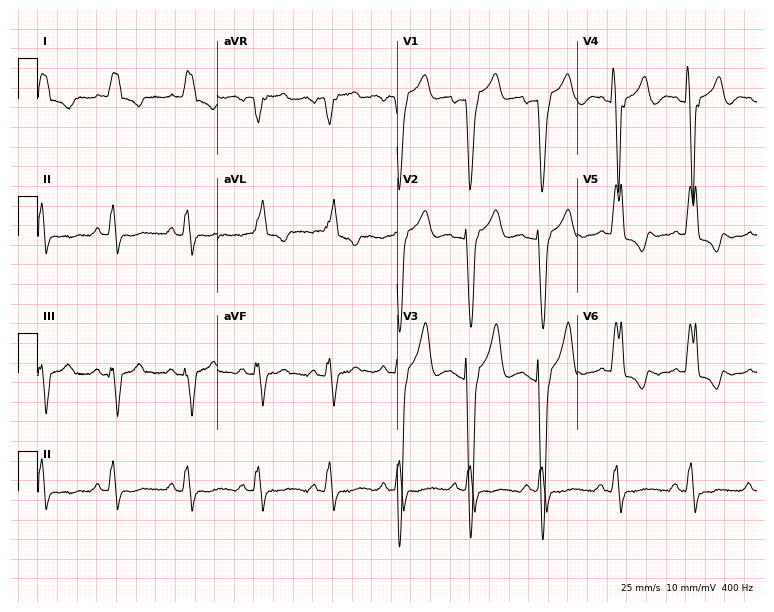
Standard 12-lead ECG recorded from an 84-year-old female patient (7.3-second recording at 400 Hz). The tracing shows left bundle branch block (LBBB).